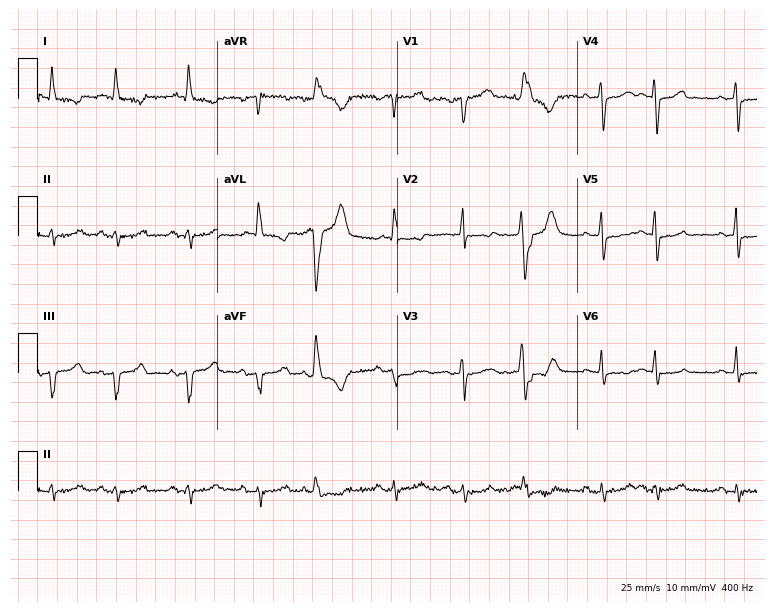
Standard 12-lead ECG recorded from a female, 82 years old (7.3-second recording at 400 Hz). None of these six findings is recorded: first-degree AV block, right bundle branch block (RBBB), left bundle branch block (LBBB), sinus bradycardia, atrial fibrillation (AF), sinus tachycardia. Findings outside these six are not listed.